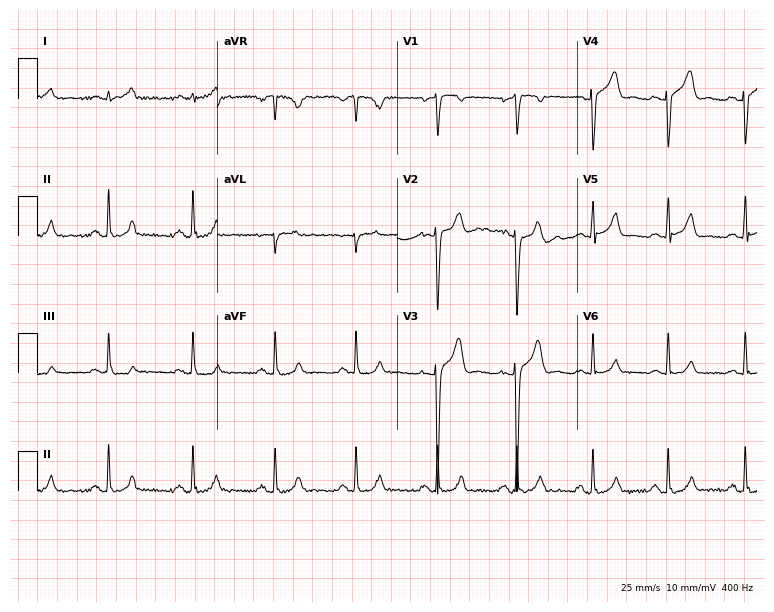
12-lead ECG from a 28-year-old man. Recorded interpretation: within normal limits.